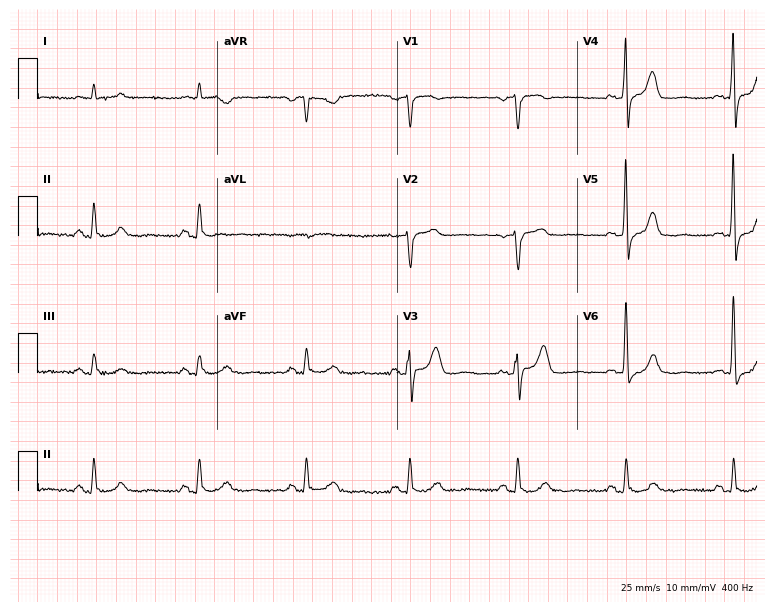
Resting 12-lead electrocardiogram (7.3-second recording at 400 Hz). Patient: a 78-year-old man. None of these six findings is recorded: first-degree AV block, right bundle branch block (RBBB), left bundle branch block (LBBB), sinus bradycardia, atrial fibrillation (AF), sinus tachycardia.